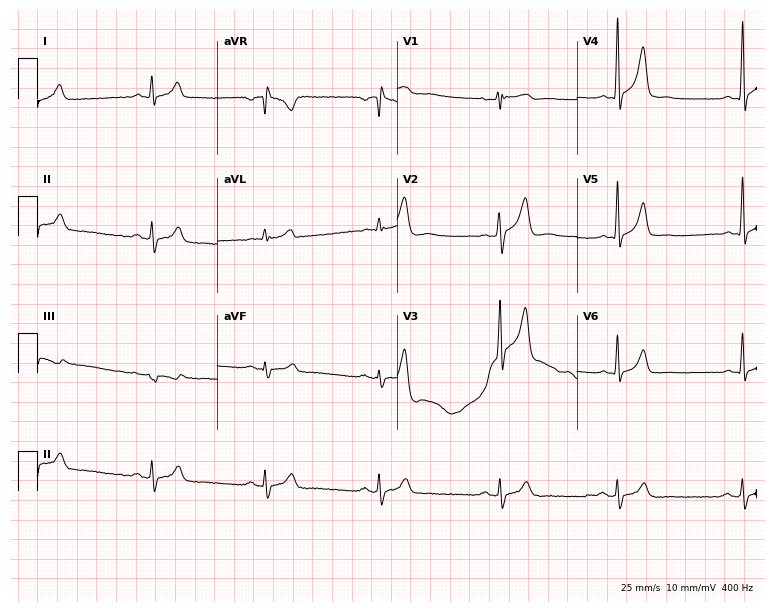
Resting 12-lead electrocardiogram. Patient: a man, 38 years old. None of these six findings is recorded: first-degree AV block, right bundle branch block, left bundle branch block, sinus bradycardia, atrial fibrillation, sinus tachycardia. Other findings, if any, are not listed.